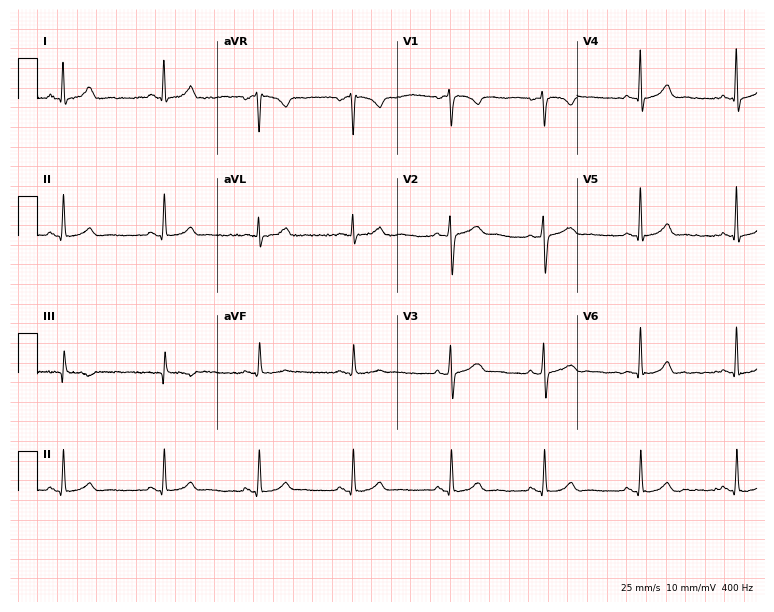
Resting 12-lead electrocardiogram (7.3-second recording at 400 Hz). Patient: a female, 34 years old. Read as a normal ECG.